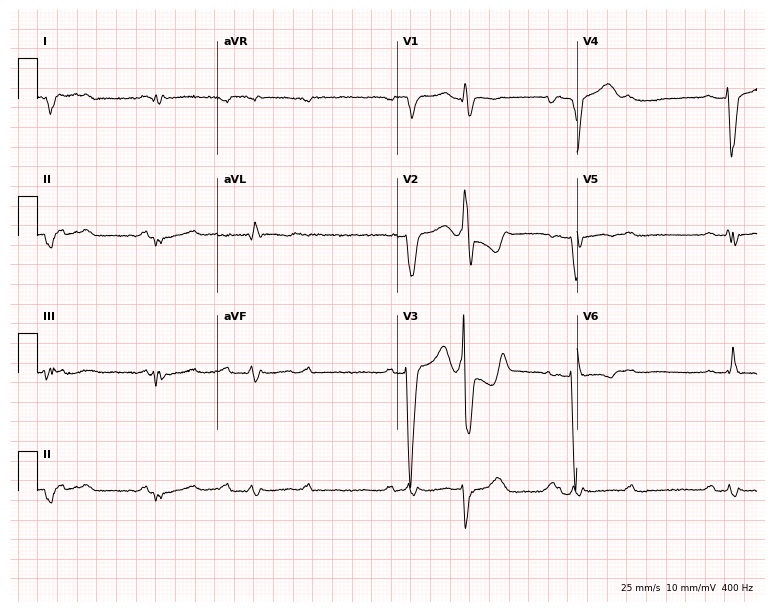
Electrocardiogram, a male, 69 years old. Interpretation includes left bundle branch block.